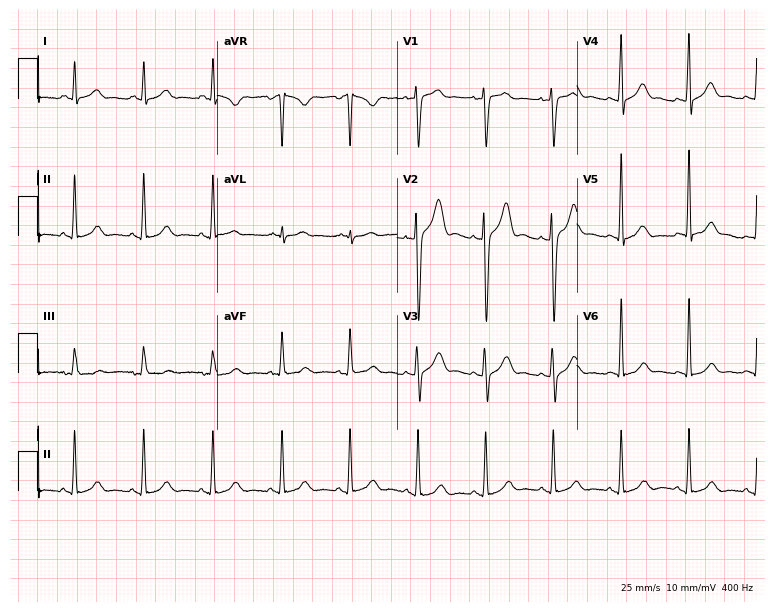
Standard 12-lead ECG recorded from a 34-year-old man (7.3-second recording at 400 Hz). Read as a normal ECG.